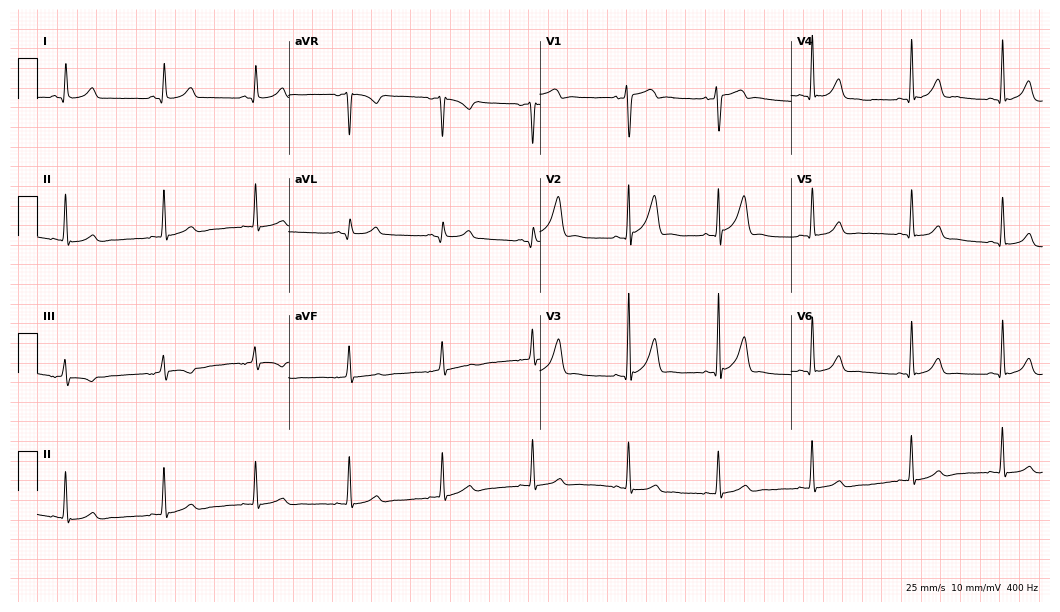
12-lead ECG from a male, 39 years old (10.2-second recording at 400 Hz). Recorded interpretation: within normal limits.